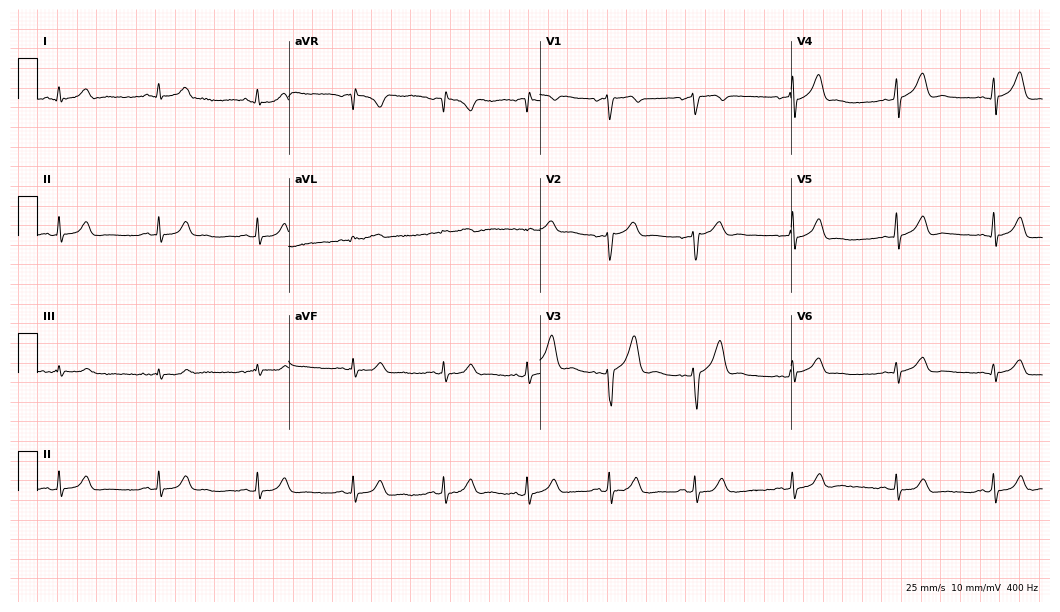
Resting 12-lead electrocardiogram (10.2-second recording at 400 Hz). Patient: a 34-year-old man. Read as a normal ECG.